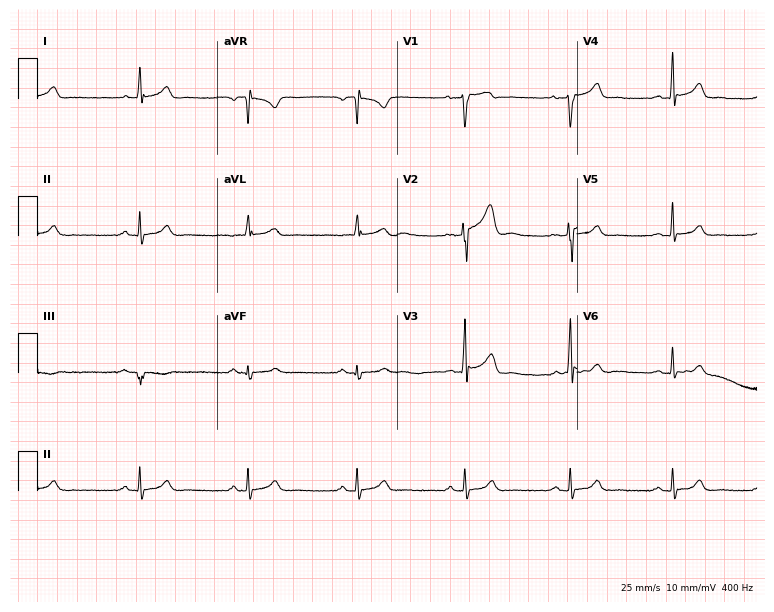
ECG (7.3-second recording at 400 Hz) — a 32-year-old male. Labelled as a normal ECG.